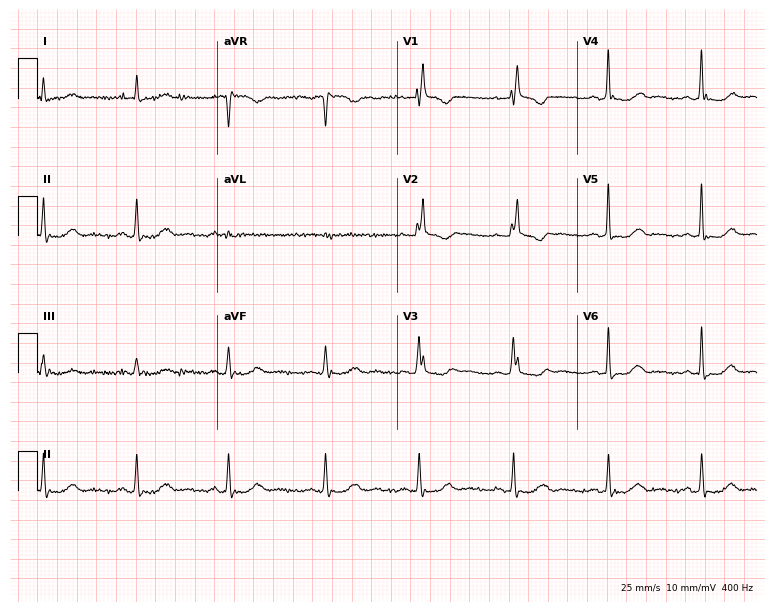
ECG (7.3-second recording at 400 Hz) — a female, 60 years old. Findings include right bundle branch block (RBBB).